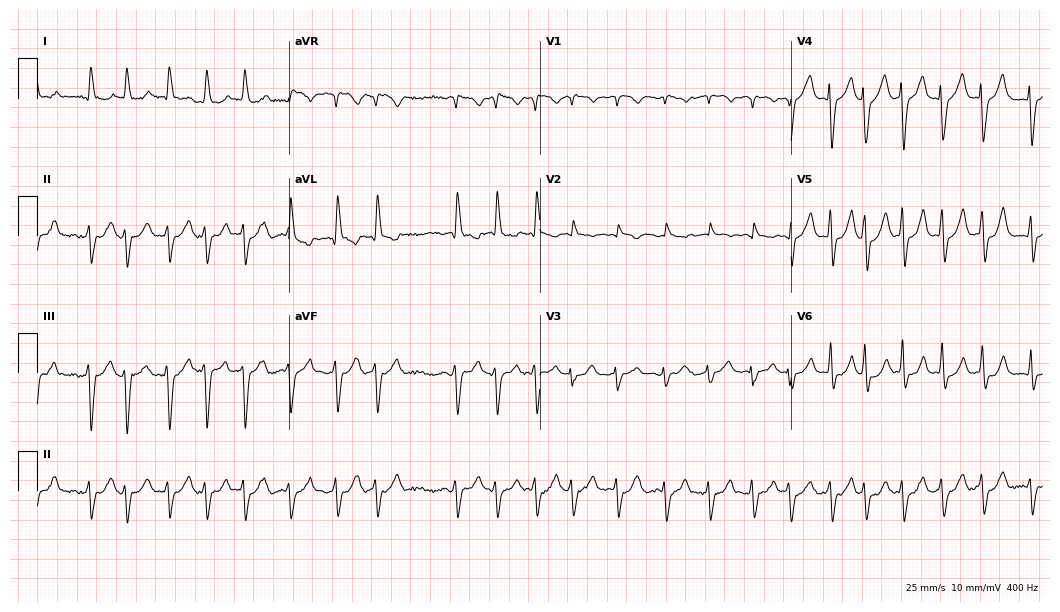
12-lead ECG (10.2-second recording at 400 Hz) from an 81-year-old female patient. Findings include atrial fibrillation (AF), sinus tachycardia (a sinus rate of 100 beats per minute or more).